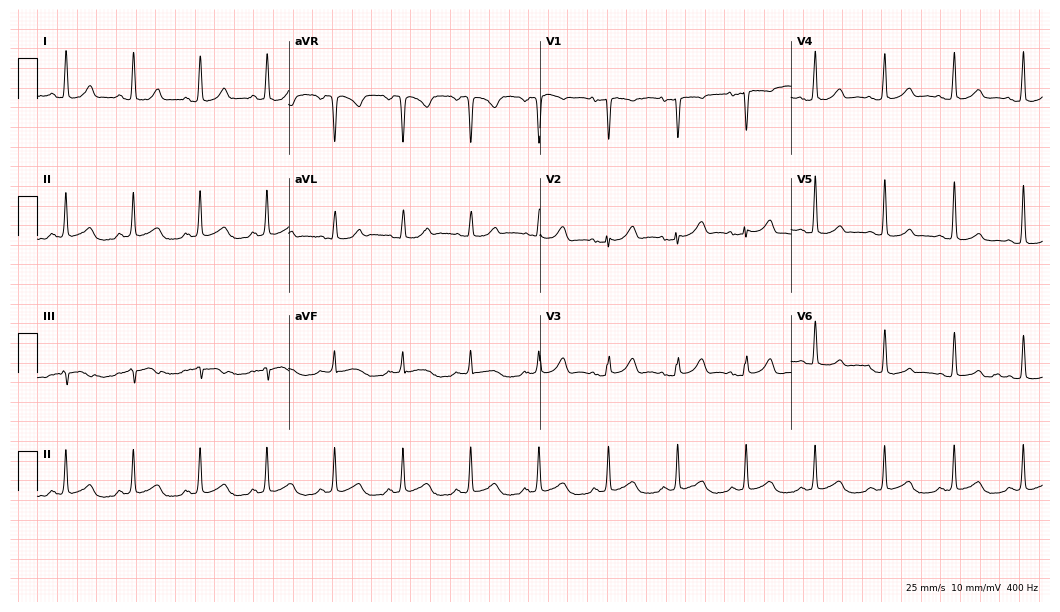
Resting 12-lead electrocardiogram. Patient: a female, 49 years old. Read as a normal ECG.